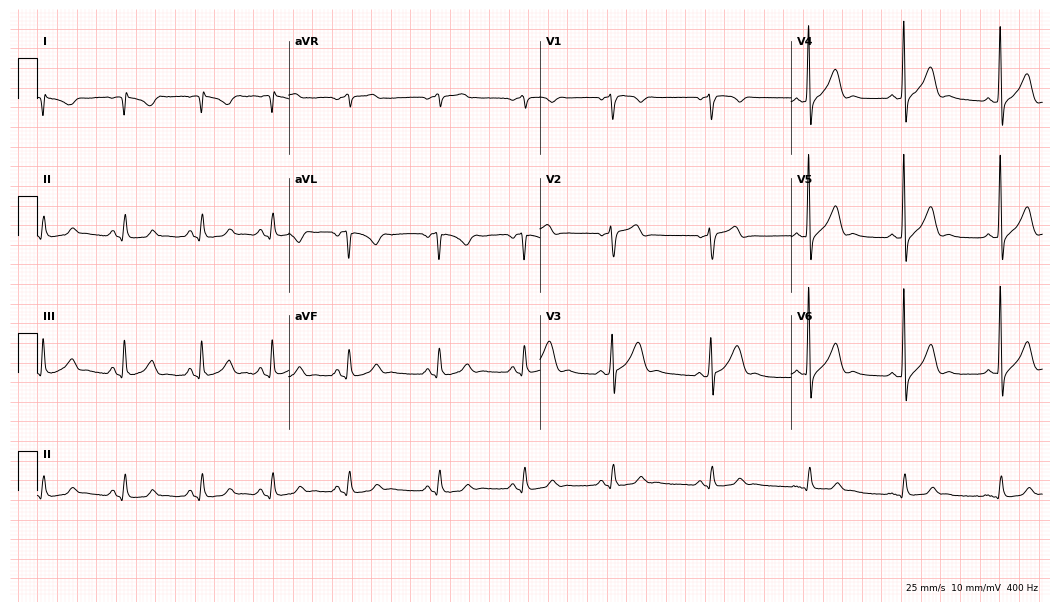
ECG — a 51-year-old male. Screened for six findings — first-degree AV block, right bundle branch block, left bundle branch block, sinus bradycardia, atrial fibrillation, sinus tachycardia — none is recorded.